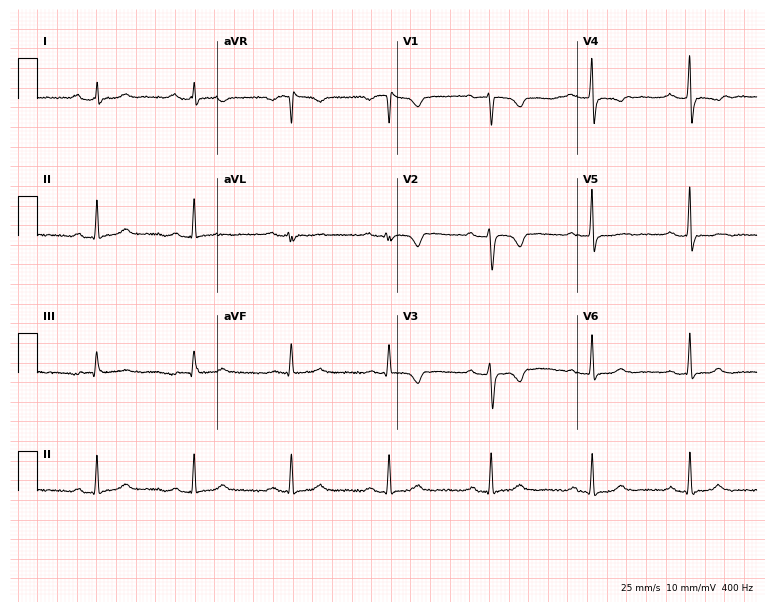
12-lead ECG (7.3-second recording at 400 Hz) from a 56-year-old woman. Screened for six findings — first-degree AV block, right bundle branch block, left bundle branch block, sinus bradycardia, atrial fibrillation, sinus tachycardia — none is recorded. Only these six findings were labelled.